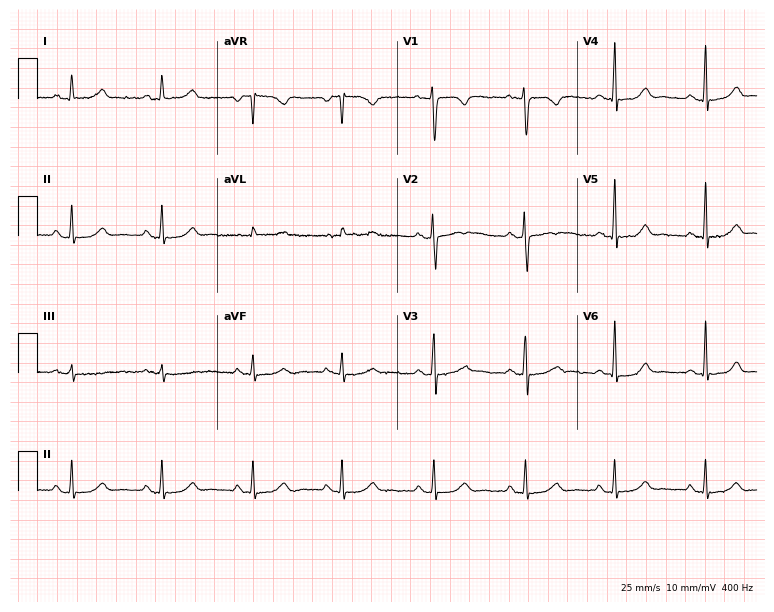
12-lead ECG from a woman, 41 years old. Recorded interpretation: within normal limits.